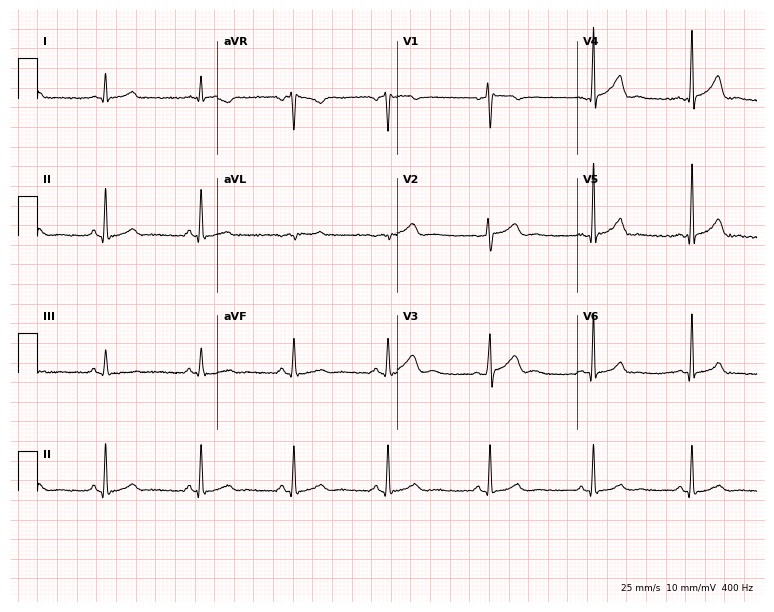
12-lead ECG from a 29-year-old male patient. Labelled as a normal ECG.